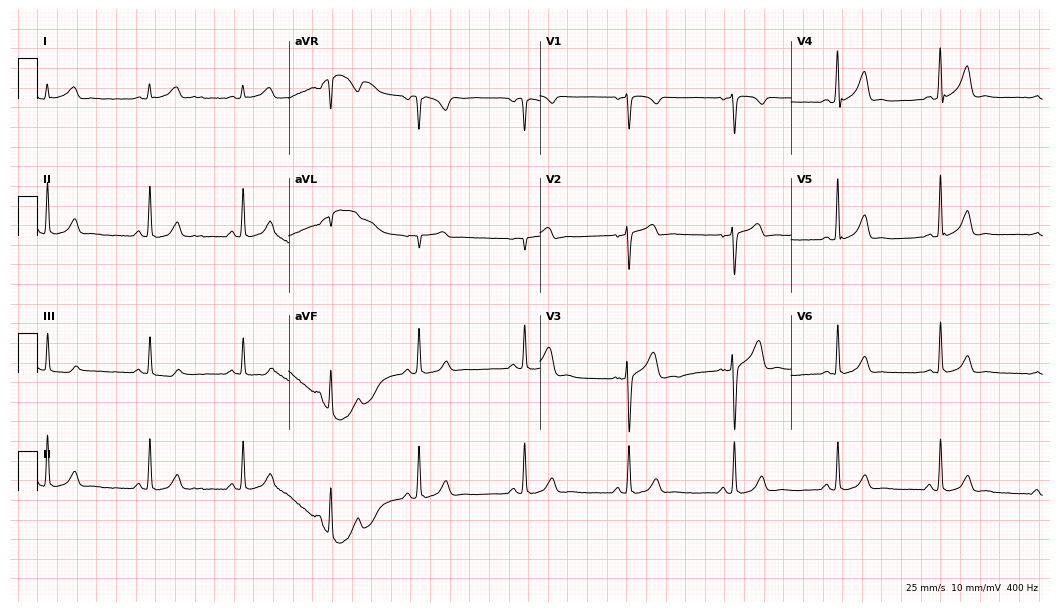
12-lead ECG from a 35-year-old man. Labelled as a normal ECG.